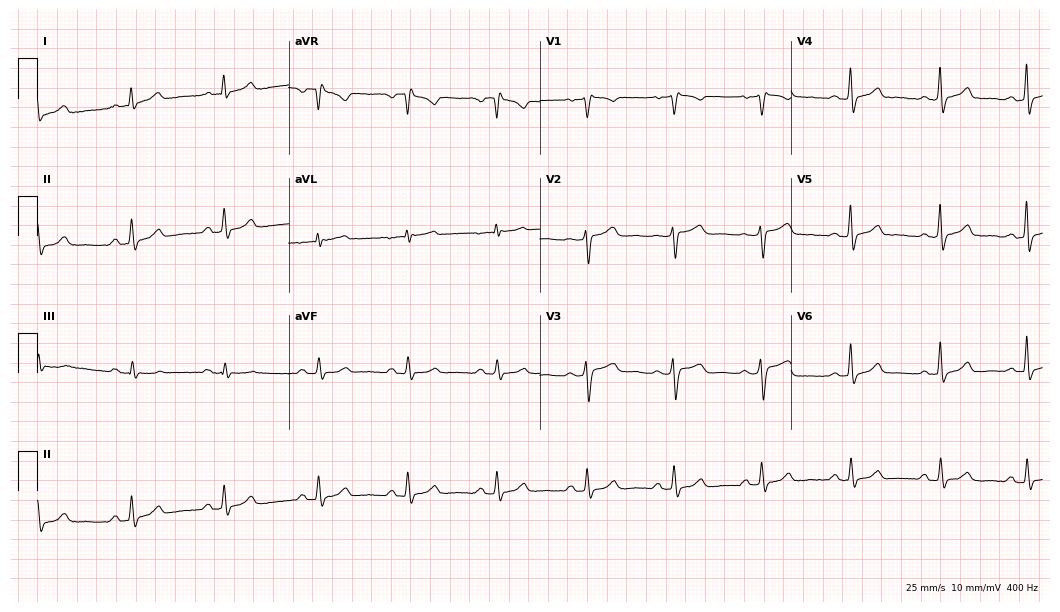
12-lead ECG from a 51-year-old female patient. Recorded interpretation: within normal limits.